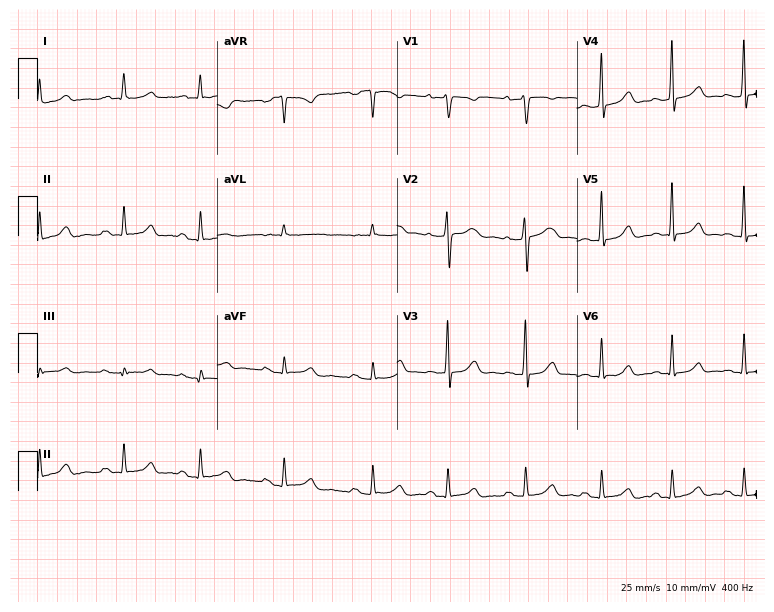
ECG — a 30-year-old woman. Screened for six findings — first-degree AV block, right bundle branch block (RBBB), left bundle branch block (LBBB), sinus bradycardia, atrial fibrillation (AF), sinus tachycardia — none is recorded. Other findings, if any, are not listed.